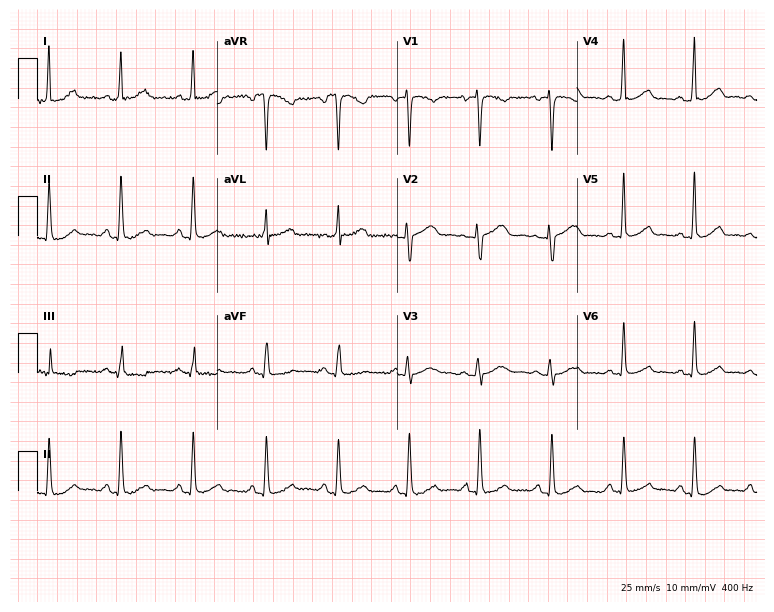
Electrocardiogram (7.3-second recording at 400 Hz), a female patient, 46 years old. Overall reading on record: normal ECG.